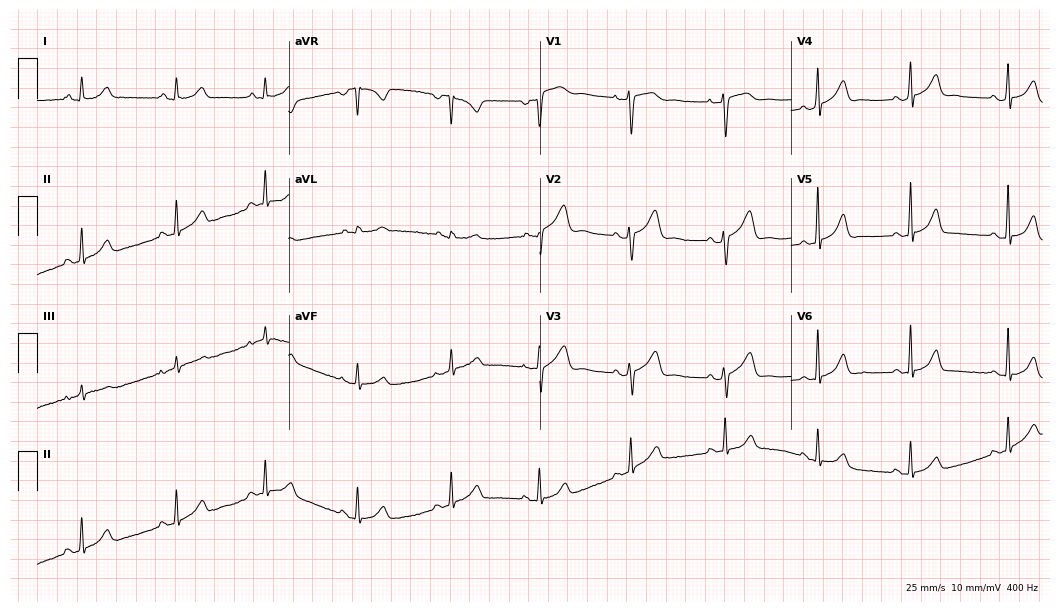
ECG (10.2-second recording at 400 Hz) — a 27-year-old female. Labelled as a normal ECG.